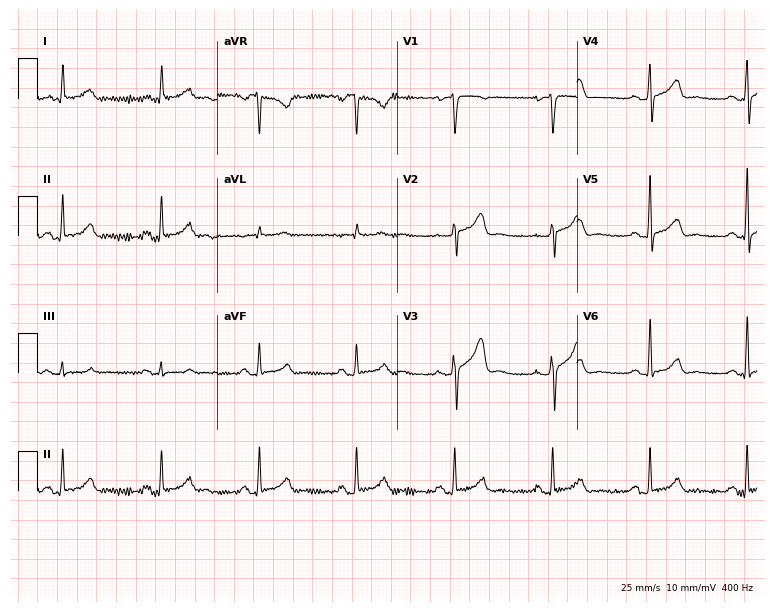
ECG (7.3-second recording at 400 Hz) — a woman, 49 years old. Labelled as a normal ECG.